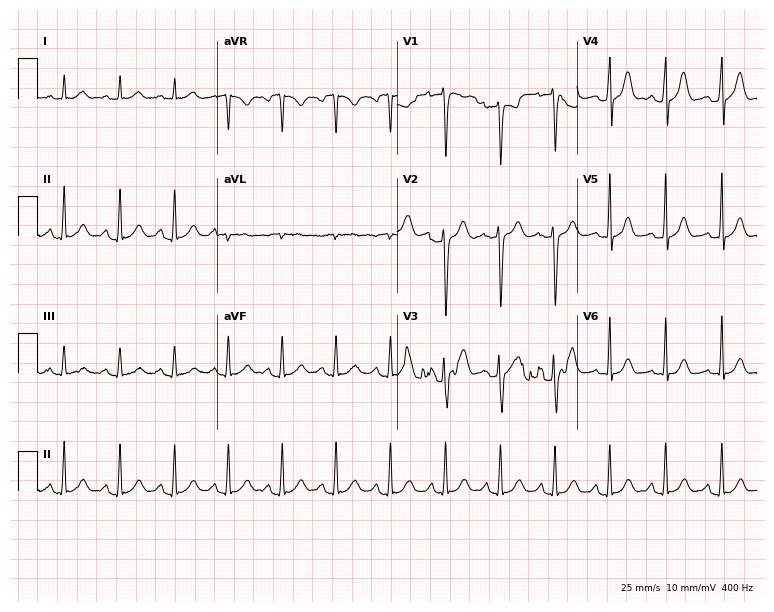
12-lead ECG (7.3-second recording at 400 Hz) from a 30-year-old male patient. Findings include sinus tachycardia (a sinus rate of 100 beats per minute or more).